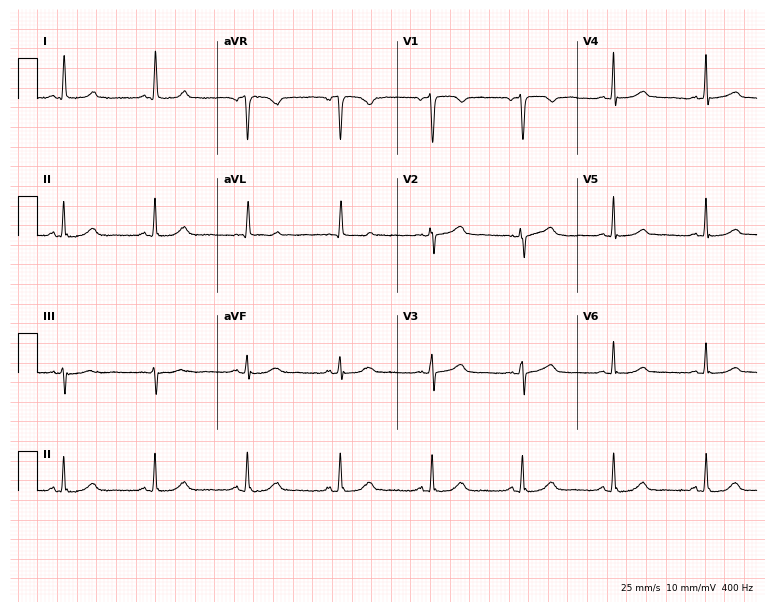
ECG (7.3-second recording at 400 Hz) — a female, 78 years old. Labelled as a normal ECG.